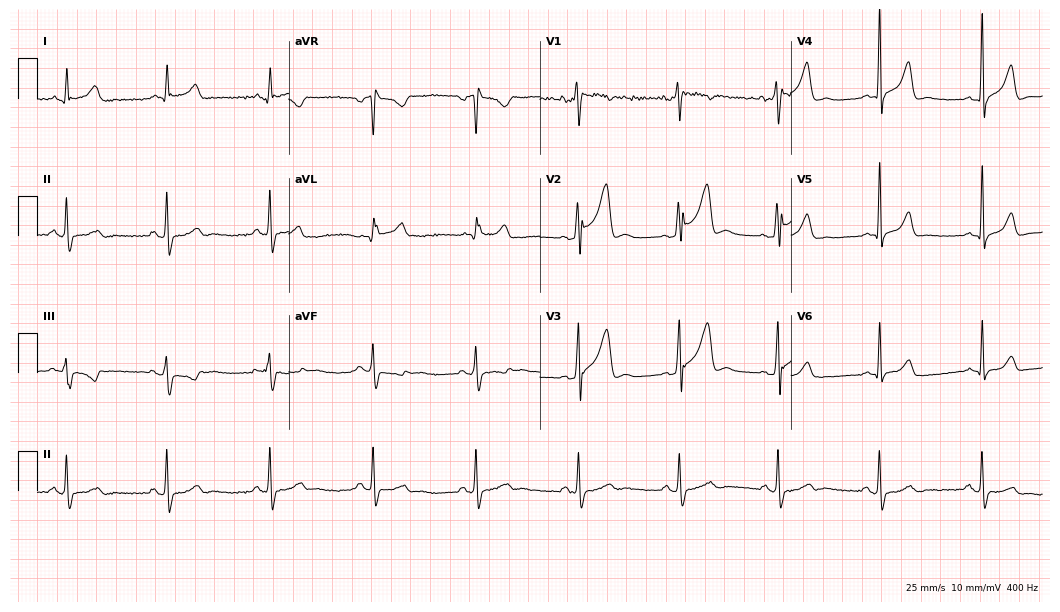
Resting 12-lead electrocardiogram (10.2-second recording at 400 Hz). Patient: a male, 39 years old. None of these six findings is recorded: first-degree AV block, right bundle branch block, left bundle branch block, sinus bradycardia, atrial fibrillation, sinus tachycardia.